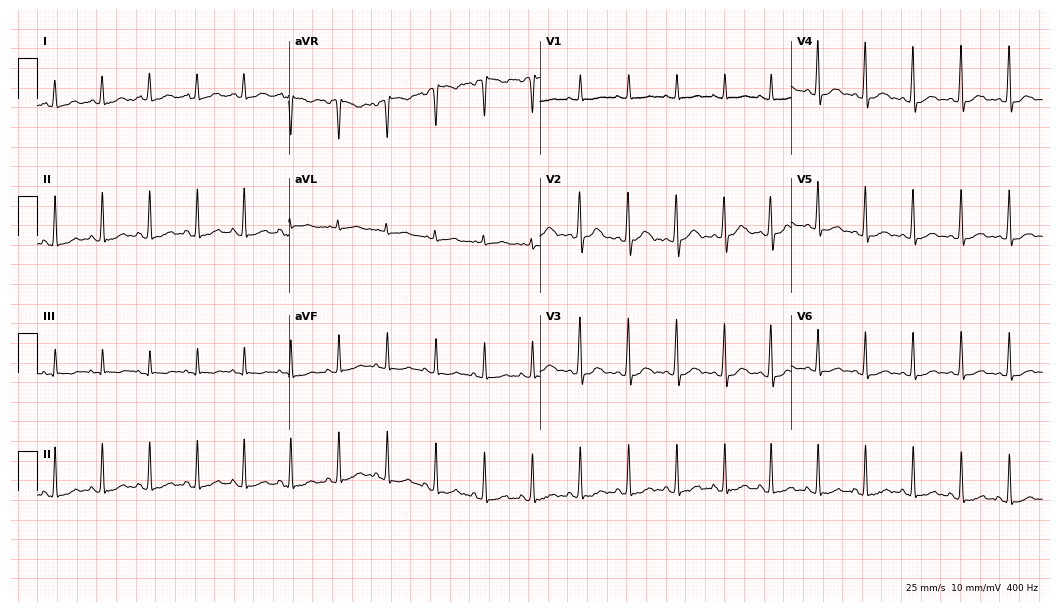
Standard 12-lead ECG recorded from a female patient, 17 years old. The tracing shows sinus tachycardia (a sinus rate of 100 beats per minute or more).